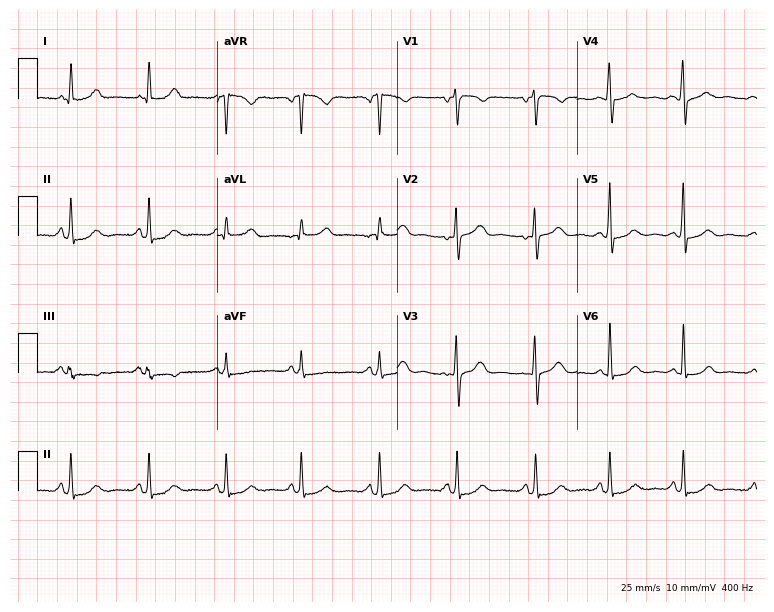
Electrocardiogram, a female patient, 53 years old. Of the six screened findings (first-degree AV block, right bundle branch block (RBBB), left bundle branch block (LBBB), sinus bradycardia, atrial fibrillation (AF), sinus tachycardia), none is recorded.